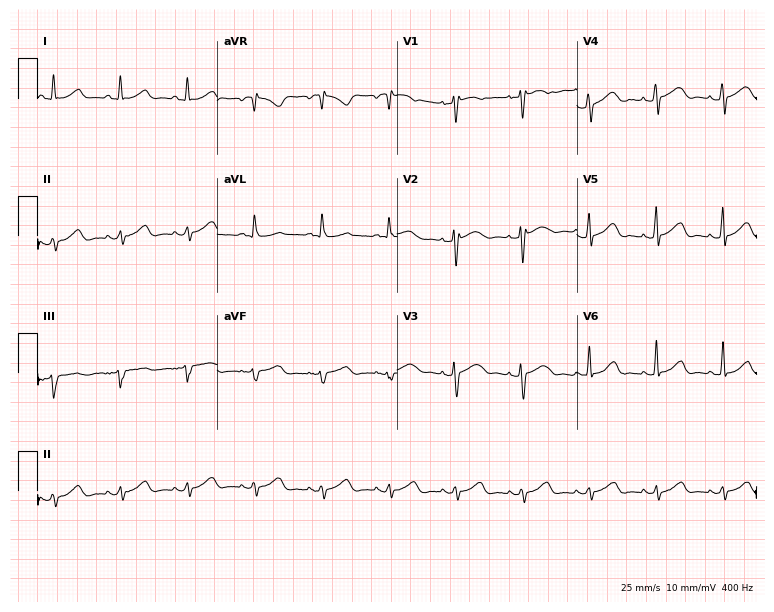
Resting 12-lead electrocardiogram (7.3-second recording at 400 Hz). Patient: a 66-year-old female. None of these six findings is recorded: first-degree AV block, right bundle branch block (RBBB), left bundle branch block (LBBB), sinus bradycardia, atrial fibrillation (AF), sinus tachycardia. Other findings, if any, are not listed.